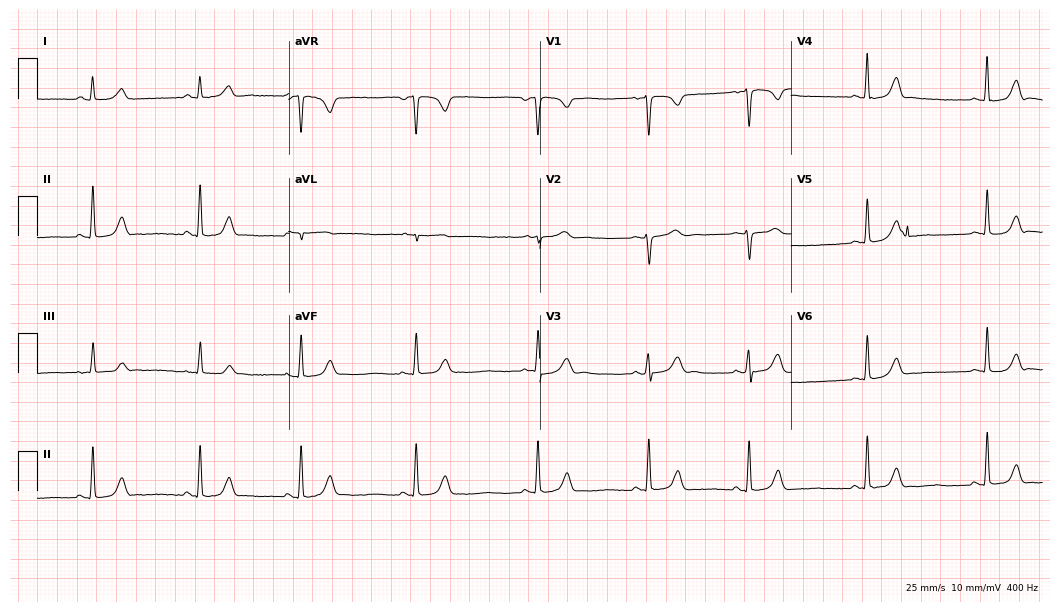
12-lead ECG from a 27-year-old woman (10.2-second recording at 400 Hz). No first-degree AV block, right bundle branch block (RBBB), left bundle branch block (LBBB), sinus bradycardia, atrial fibrillation (AF) or sinus tachycardia recorded for this tracing.